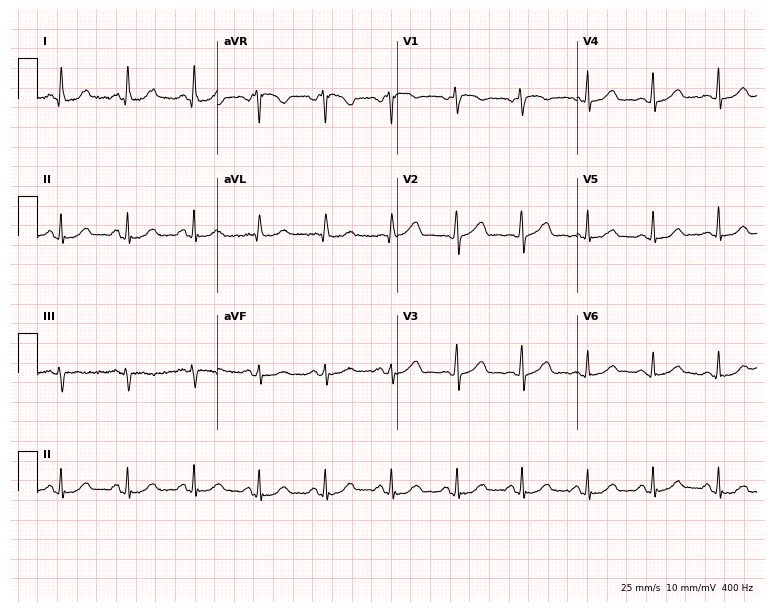
Electrocardiogram, a 57-year-old woman. Overall reading on record: normal ECG.